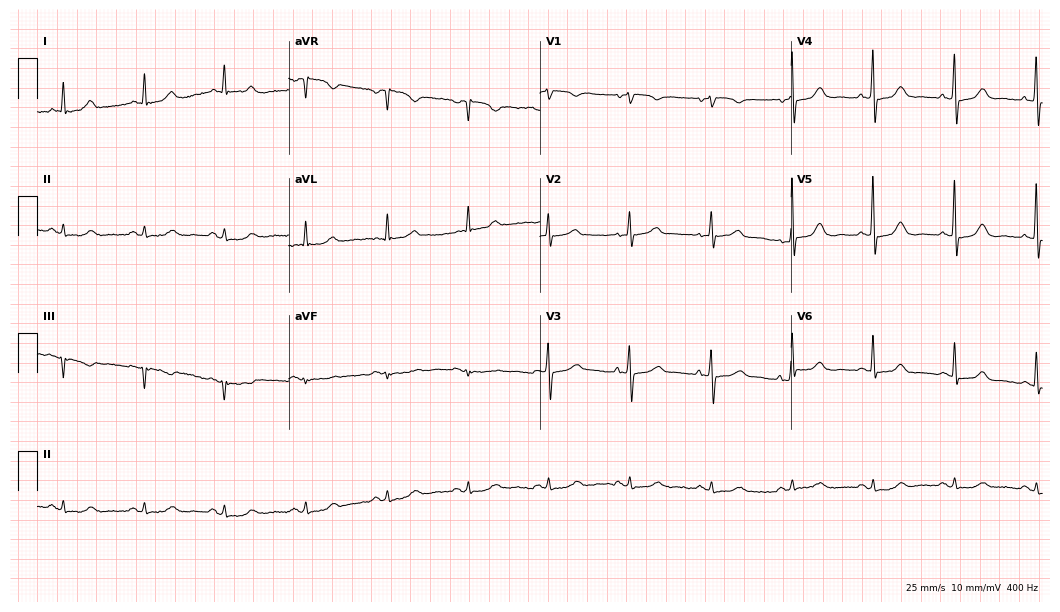
Resting 12-lead electrocardiogram (10.2-second recording at 400 Hz). Patient: a 75-year-old female. None of these six findings is recorded: first-degree AV block, right bundle branch block, left bundle branch block, sinus bradycardia, atrial fibrillation, sinus tachycardia. Only these six findings were labelled.